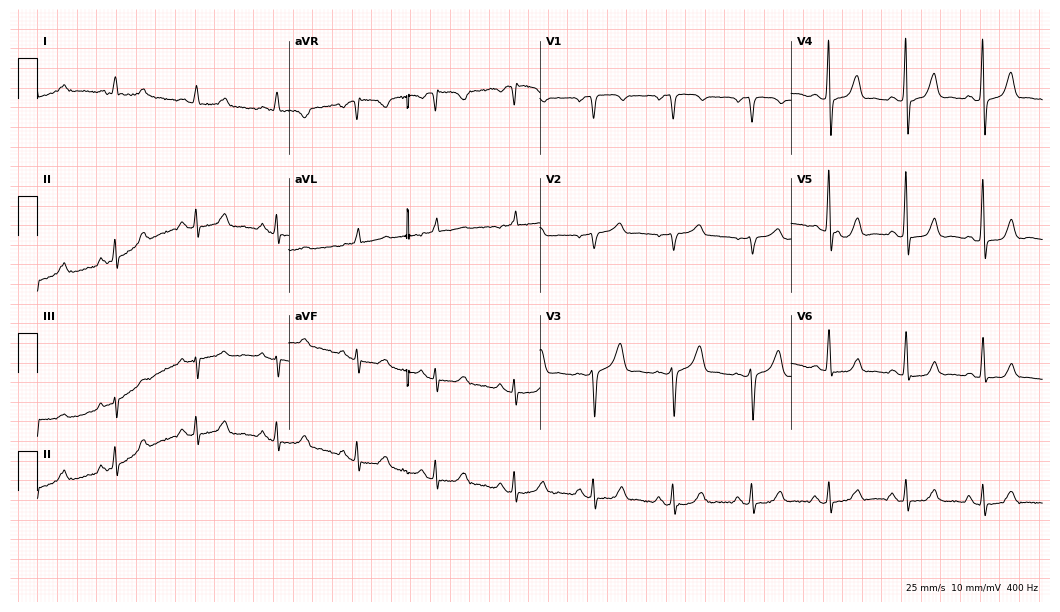
Electrocardiogram, a 69-year-old man. Of the six screened findings (first-degree AV block, right bundle branch block (RBBB), left bundle branch block (LBBB), sinus bradycardia, atrial fibrillation (AF), sinus tachycardia), none is recorded.